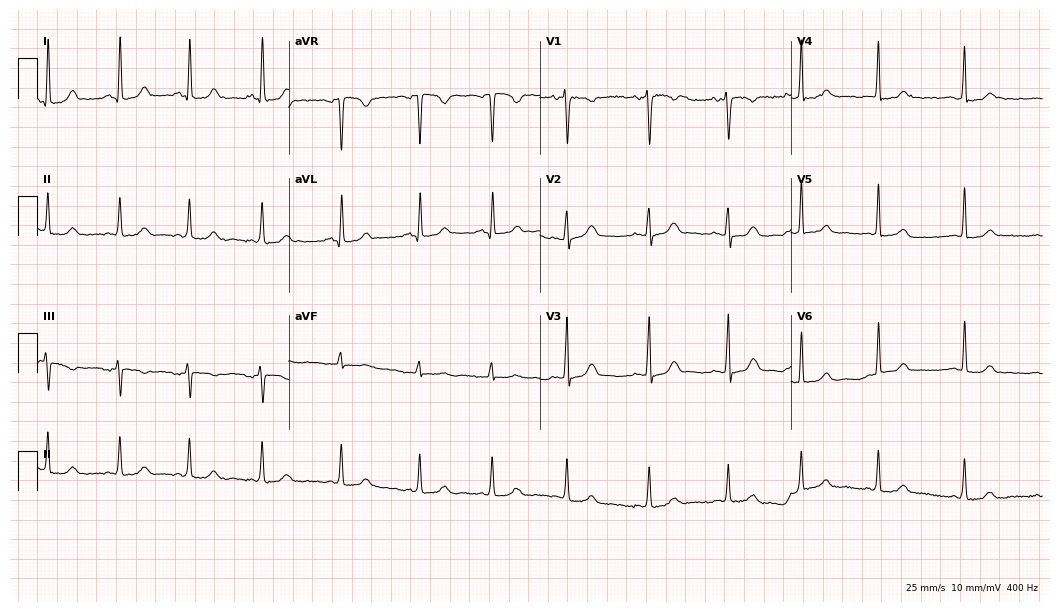
12-lead ECG from a woman, 35 years old. Recorded interpretation: within normal limits.